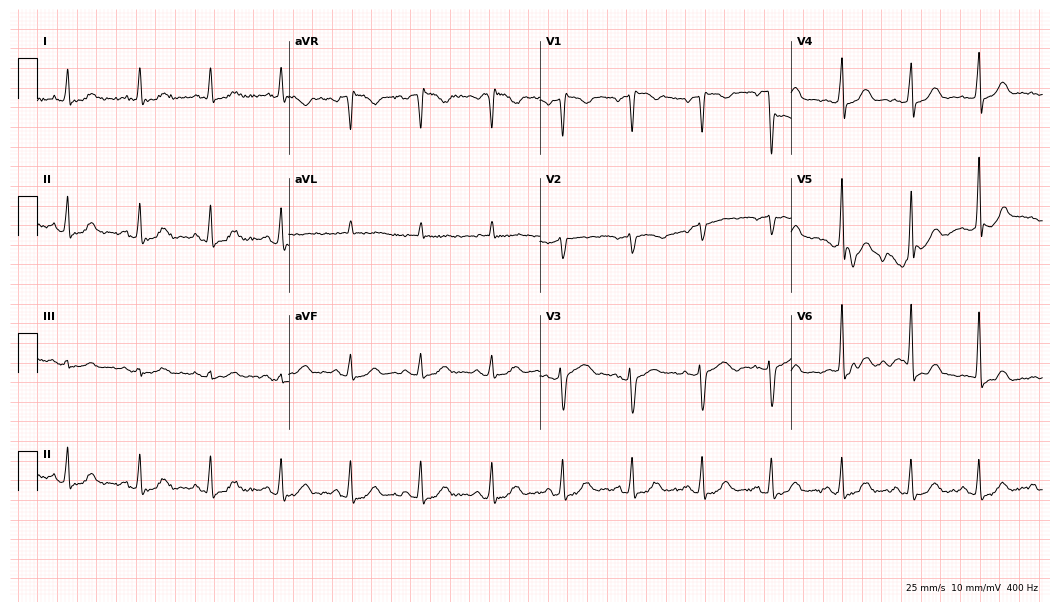
ECG (10.2-second recording at 400 Hz) — a female, 44 years old. Screened for six findings — first-degree AV block, right bundle branch block, left bundle branch block, sinus bradycardia, atrial fibrillation, sinus tachycardia — none is recorded.